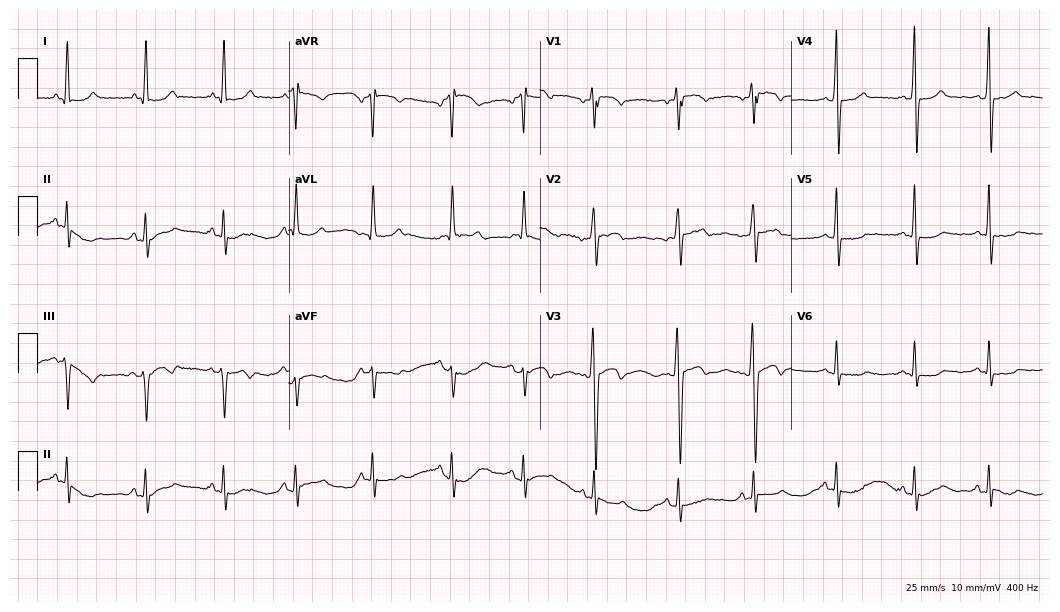
12-lead ECG from a 32-year-old male (10.2-second recording at 400 Hz). No first-degree AV block, right bundle branch block, left bundle branch block, sinus bradycardia, atrial fibrillation or sinus tachycardia recorded for this tracing. Other findings, if any, are not listed.